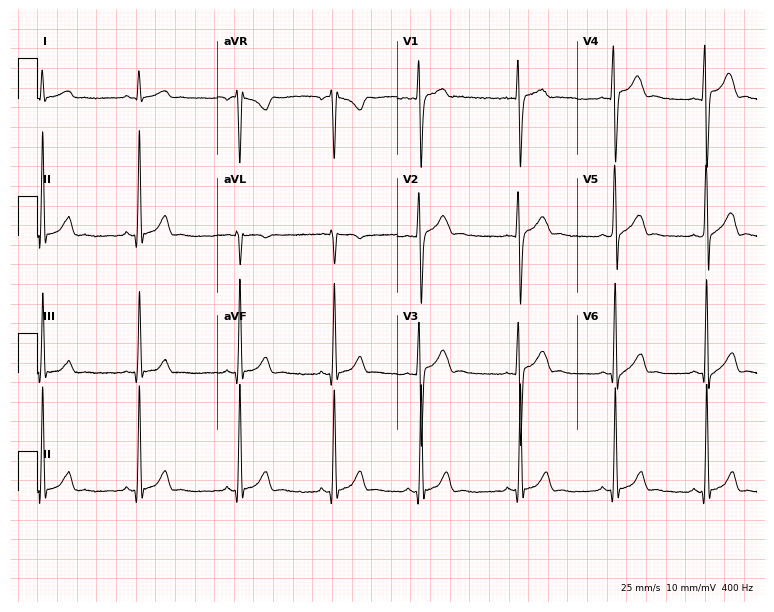
Resting 12-lead electrocardiogram. Patient: a 23-year-old male. Read as a normal ECG.